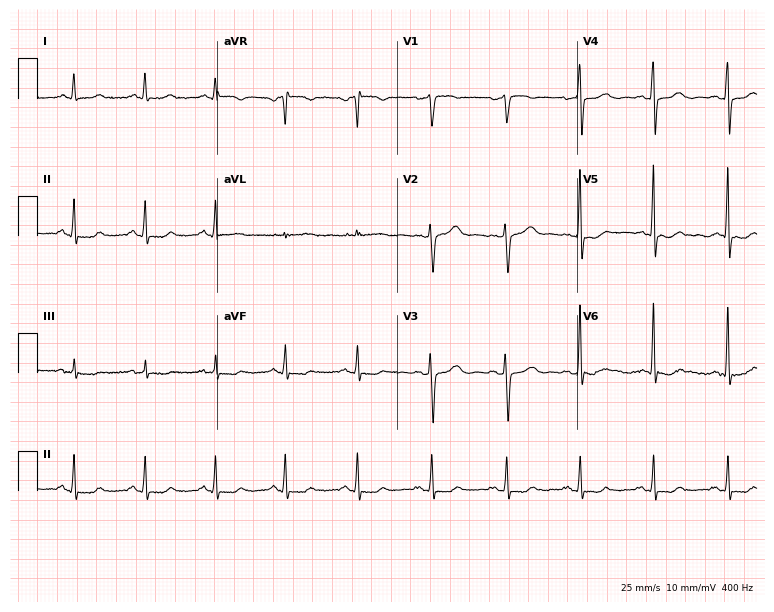
12-lead ECG (7.3-second recording at 400 Hz) from a 62-year-old woman. Screened for six findings — first-degree AV block, right bundle branch block (RBBB), left bundle branch block (LBBB), sinus bradycardia, atrial fibrillation (AF), sinus tachycardia — none is recorded.